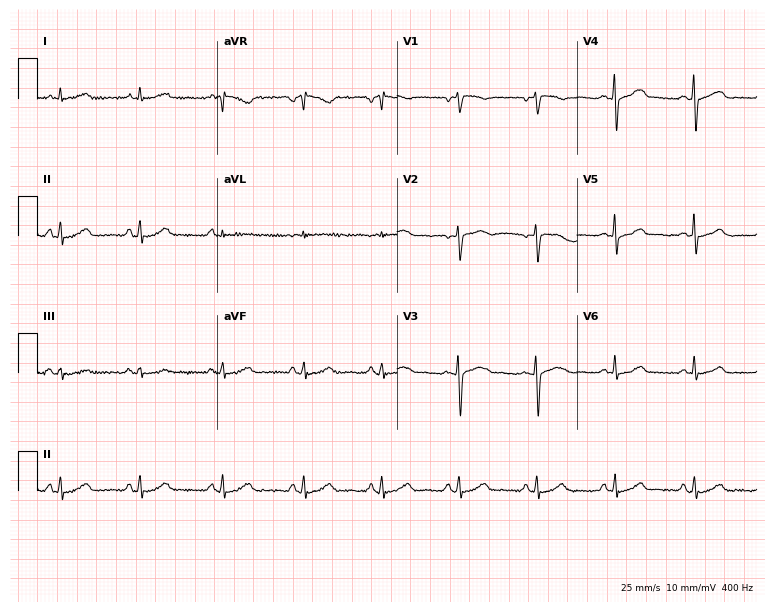
Standard 12-lead ECG recorded from a woman, 48 years old (7.3-second recording at 400 Hz). Read as a normal ECG.